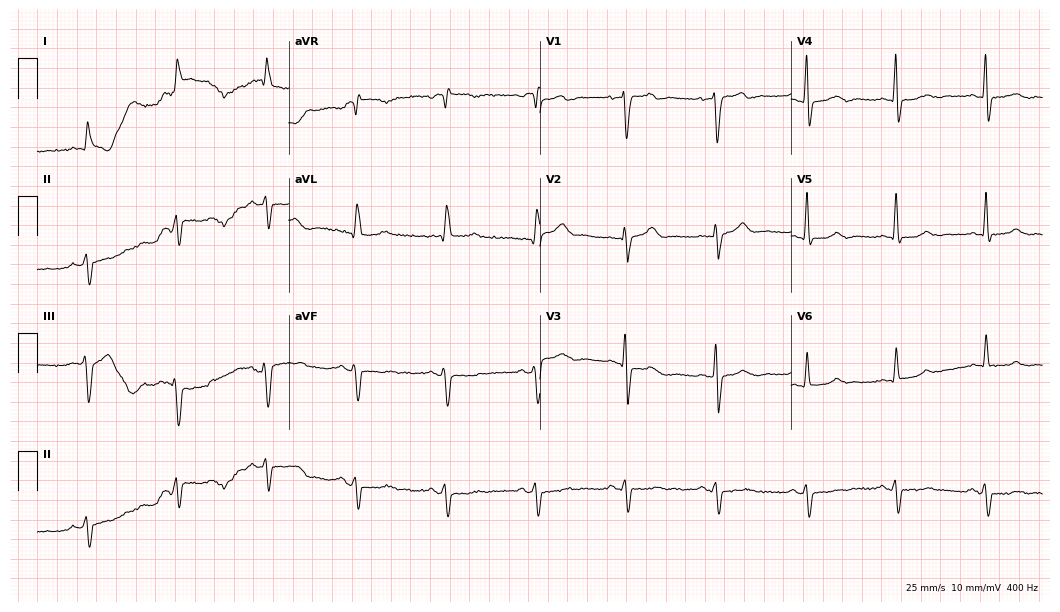
ECG (10.2-second recording at 400 Hz) — a male, 76 years old. Screened for six findings — first-degree AV block, right bundle branch block, left bundle branch block, sinus bradycardia, atrial fibrillation, sinus tachycardia — none is recorded. Findings outside these six are not listed.